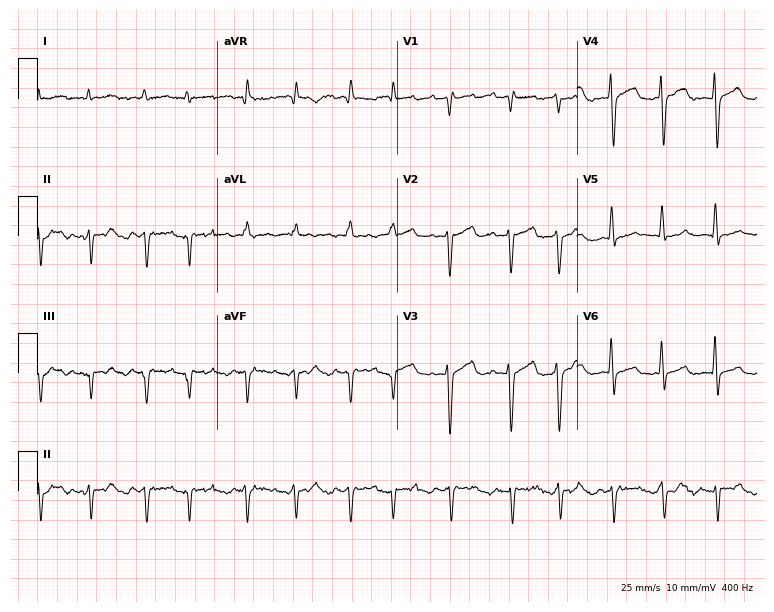
ECG — a 77-year-old man. Findings include atrial fibrillation.